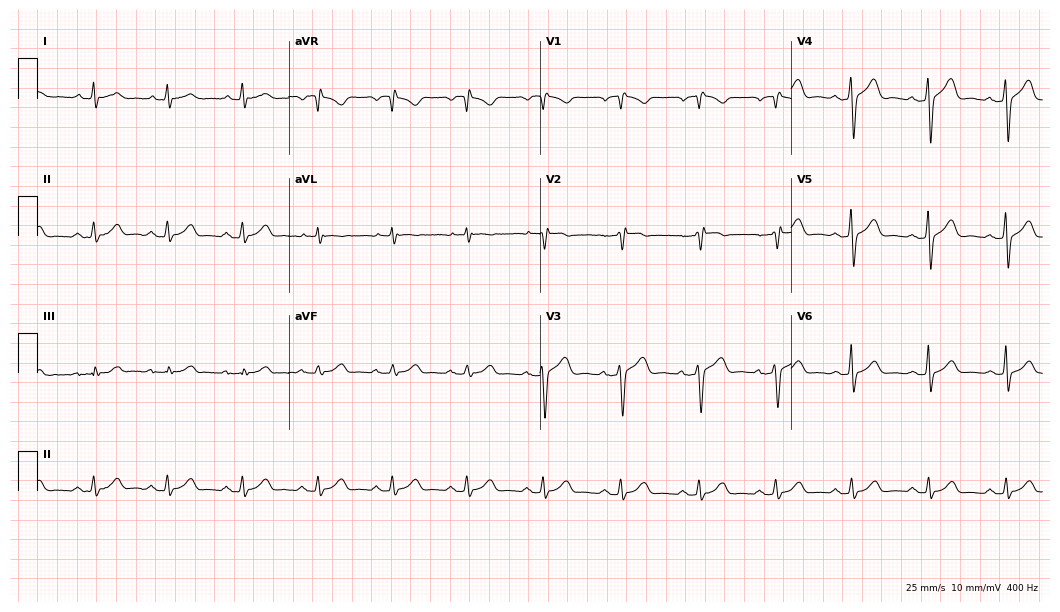
ECG (10.2-second recording at 400 Hz) — a male, 53 years old. Screened for six findings — first-degree AV block, right bundle branch block (RBBB), left bundle branch block (LBBB), sinus bradycardia, atrial fibrillation (AF), sinus tachycardia — none is recorded. Only these six findings were labelled.